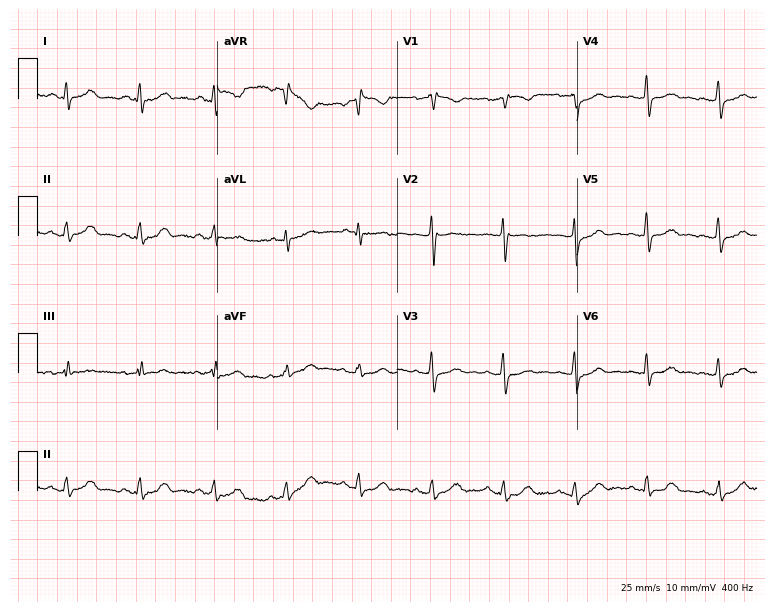
12-lead ECG from a female, 40 years old. Labelled as a normal ECG.